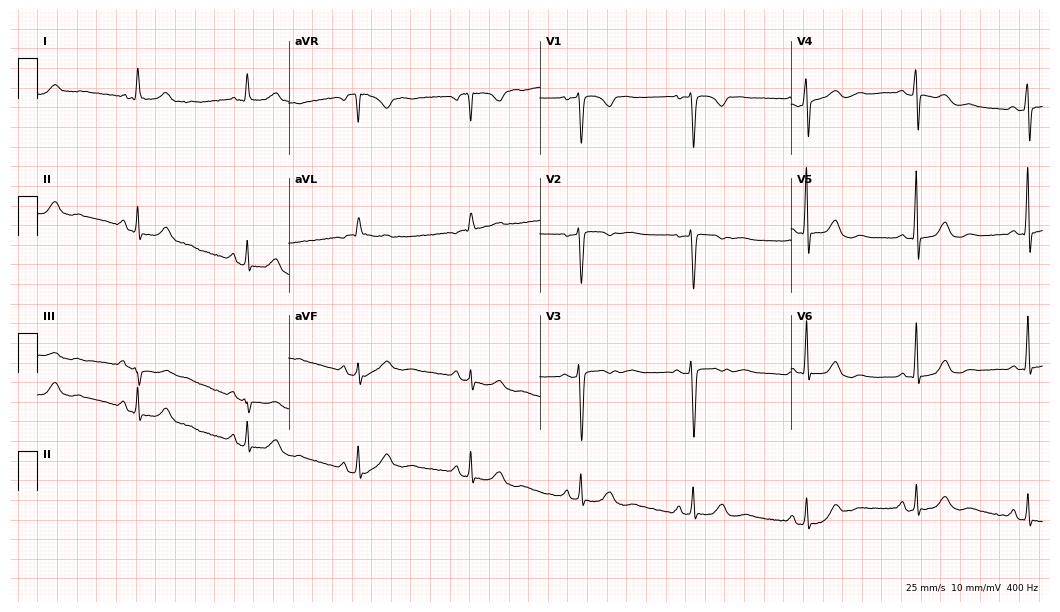
Standard 12-lead ECG recorded from a 57-year-old female patient (10.2-second recording at 400 Hz). None of these six findings is recorded: first-degree AV block, right bundle branch block (RBBB), left bundle branch block (LBBB), sinus bradycardia, atrial fibrillation (AF), sinus tachycardia.